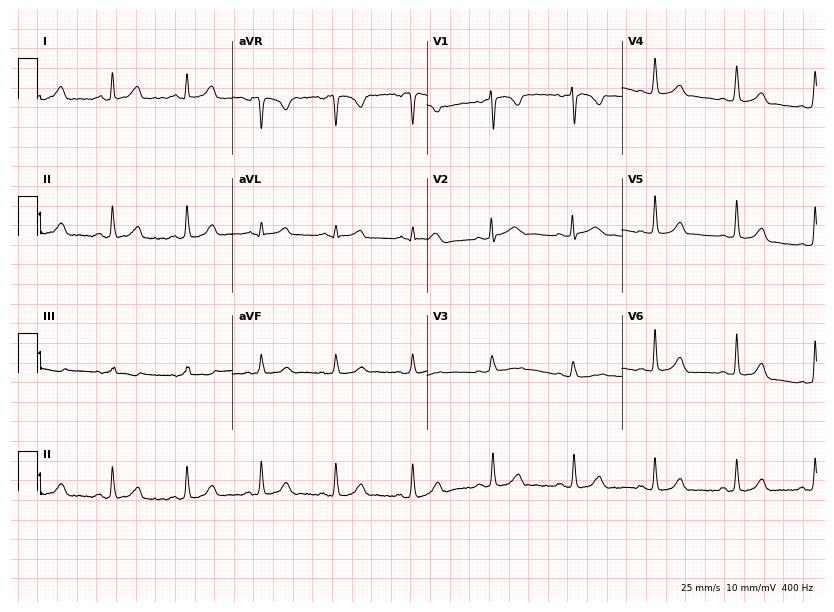
Electrocardiogram (7.9-second recording at 400 Hz), a woman, 28 years old. Overall reading on record: normal ECG.